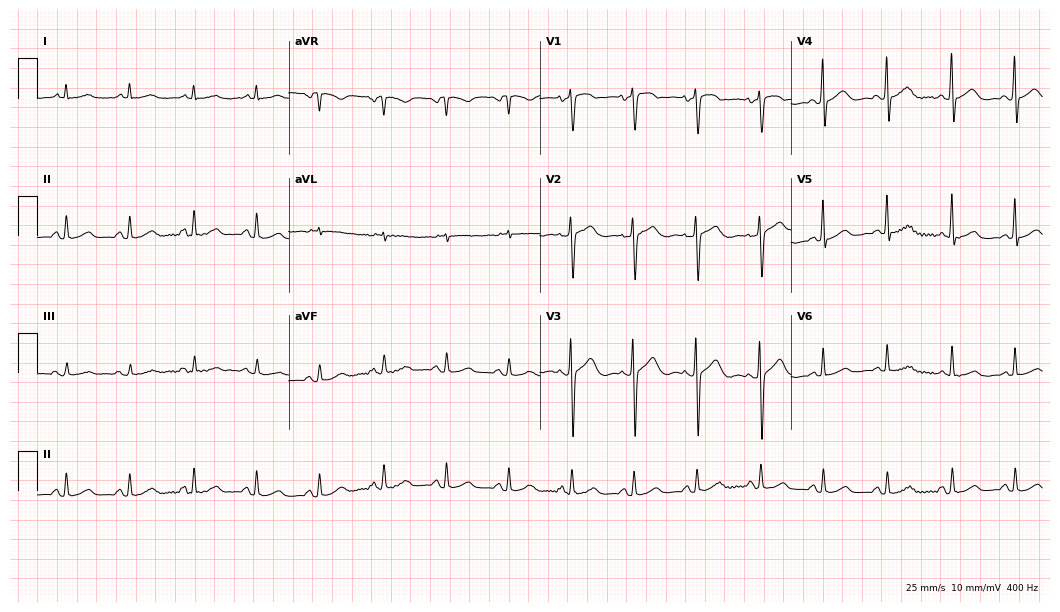
12-lead ECG from a 54-year-old female patient (10.2-second recording at 400 Hz). Recorded interpretation: within normal limits.